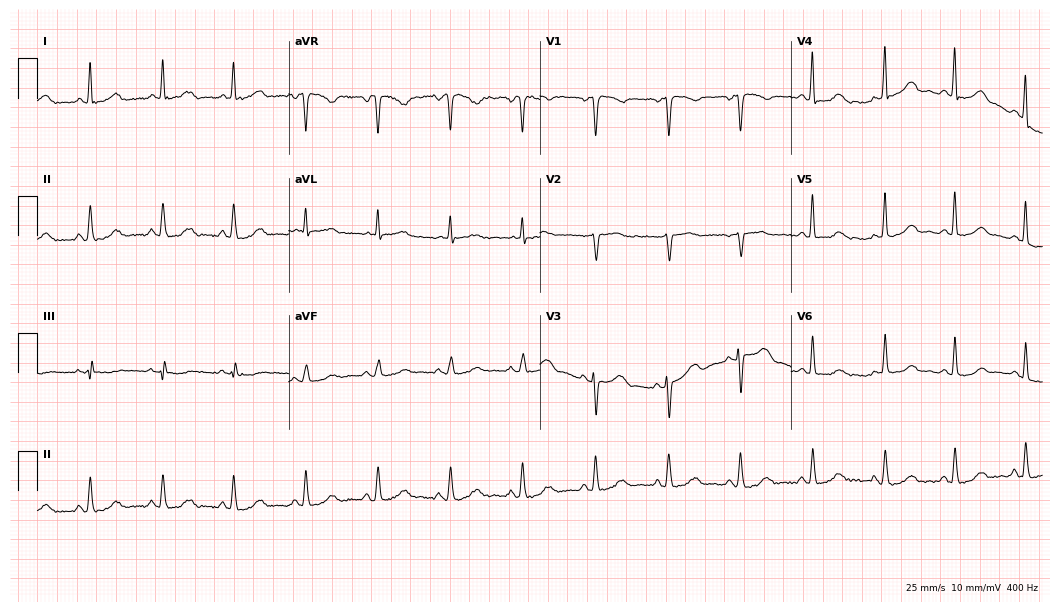
ECG — a 51-year-old female. Screened for six findings — first-degree AV block, right bundle branch block, left bundle branch block, sinus bradycardia, atrial fibrillation, sinus tachycardia — none is recorded.